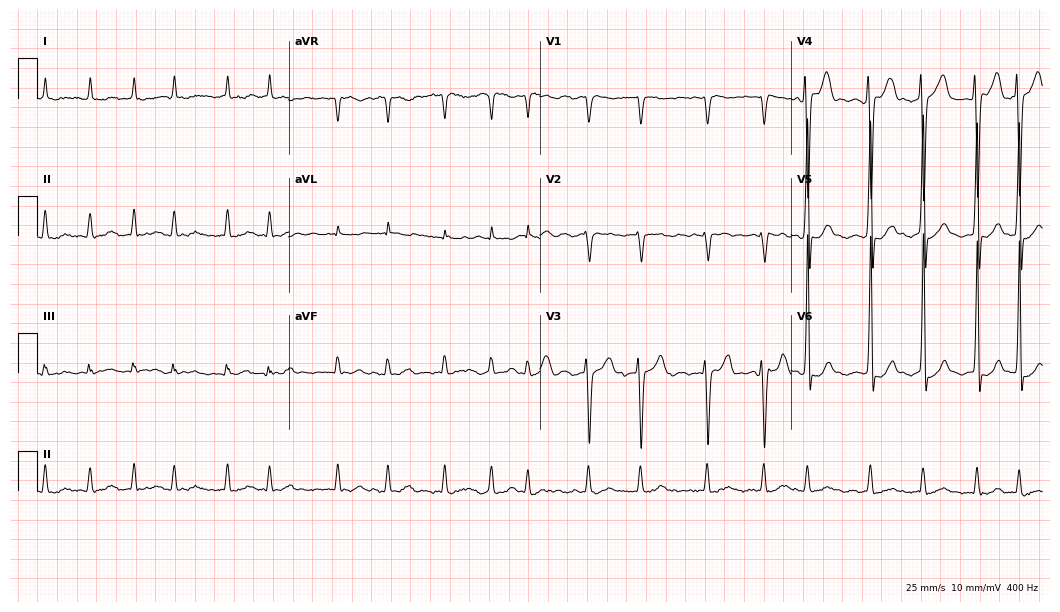
Electrocardiogram, a 68-year-old male. Interpretation includes atrial fibrillation (AF).